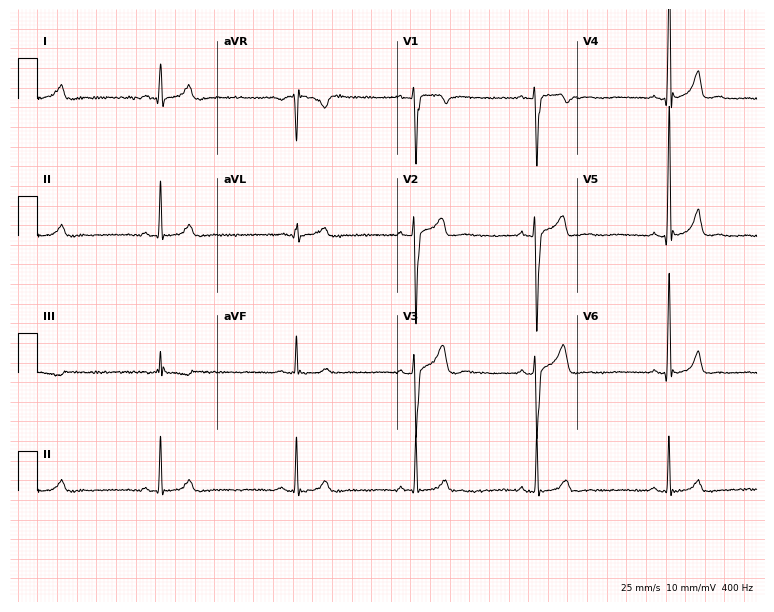
12-lead ECG from a 24-year-old male. No first-degree AV block, right bundle branch block (RBBB), left bundle branch block (LBBB), sinus bradycardia, atrial fibrillation (AF) or sinus tachycardia recorded for this tracing. Findings outside these six are not listed.